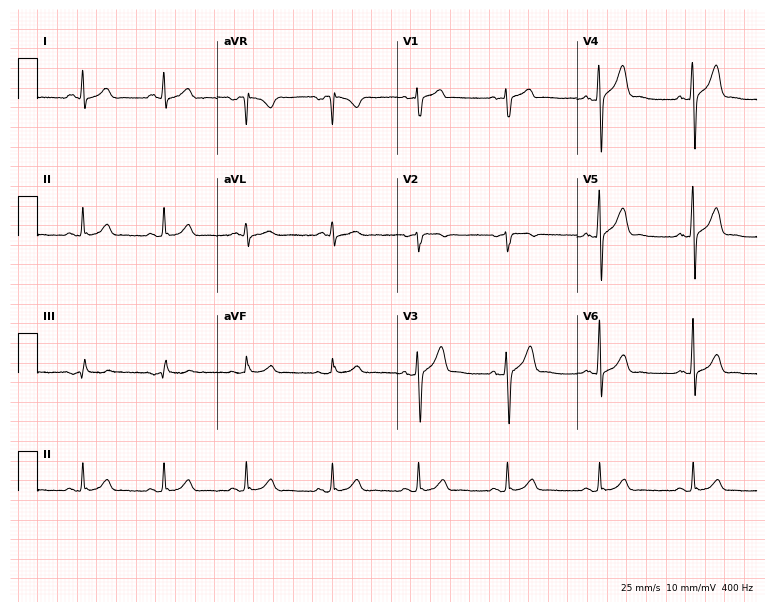
Resting 12-lead electrocardiogram (7.3-second recording at 400 Hz). Patient: a man, 42 years old. None of these six findings is recorded: first-degree AV block, right bundle branch block, left bundle branch block, sinus bradycardia, atrial fibrillation, sinus tachycardia.